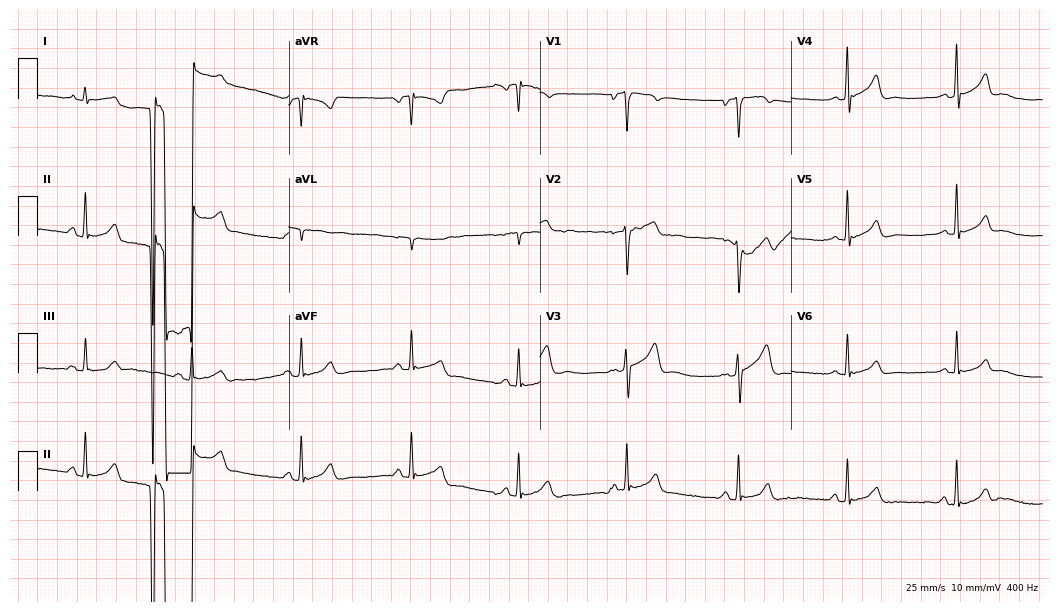
12-lead ECG from a 38-year-old male patient (10.2-second recording at 400 Hz). No first-degree AV block, right bundle branch block, left bundle branch block, sinus bradycardia, atrial fibrillation or sinus tachycardia recorded for this tracing. Findings outside these six are not listed.